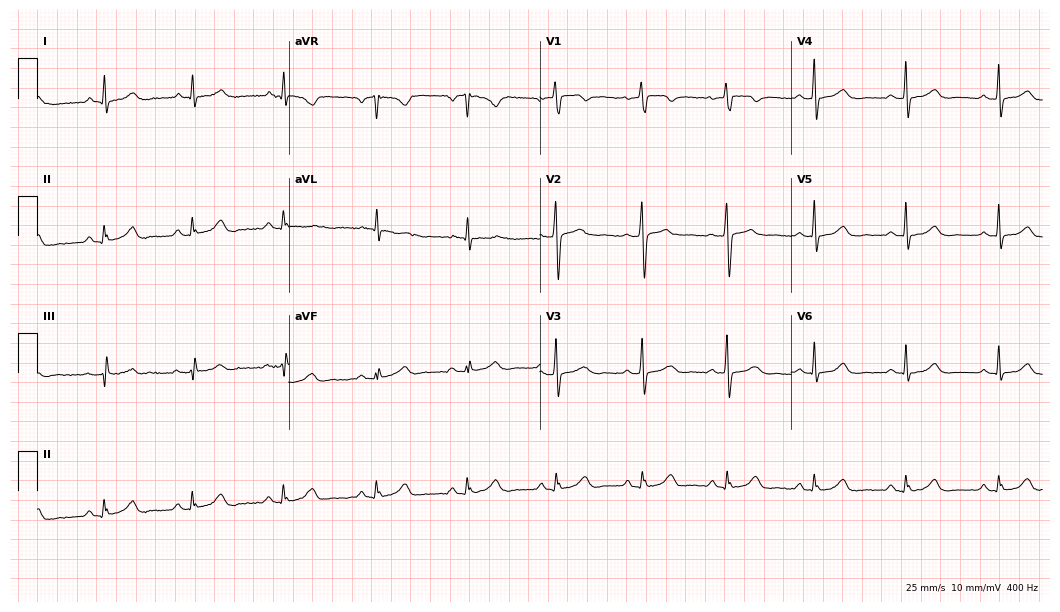
Resting 12-lead electrocardiogram (10.2-second recording at 400 Hz). Patient: a 44-year-old woman. Read as a normal ECG.